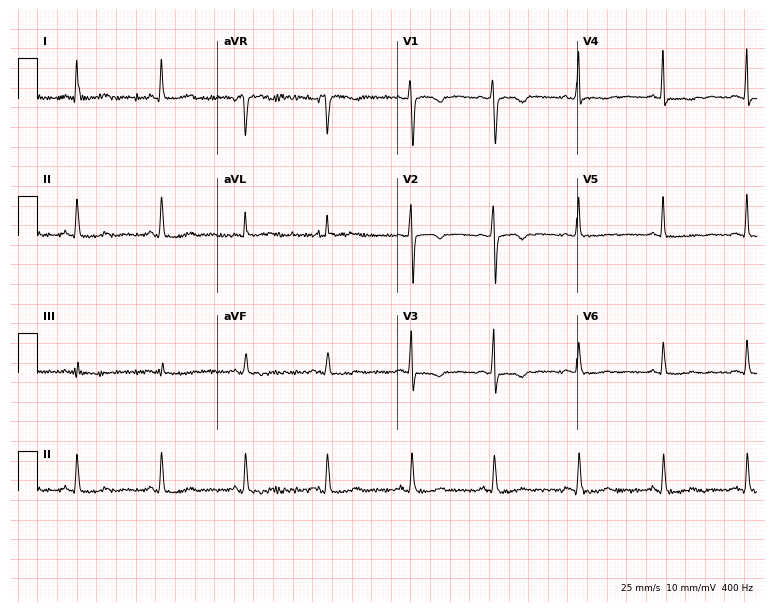
Resting 12-lead electrocardiogram. Patient: a female, 37 years old. None of these six findings is recorded: first-degree AV block, right bundle branch block (RBBB), left bundle branch block (LBBB), sinus bradycardia, atrial fibrillation (AF), sinus tachycardia.